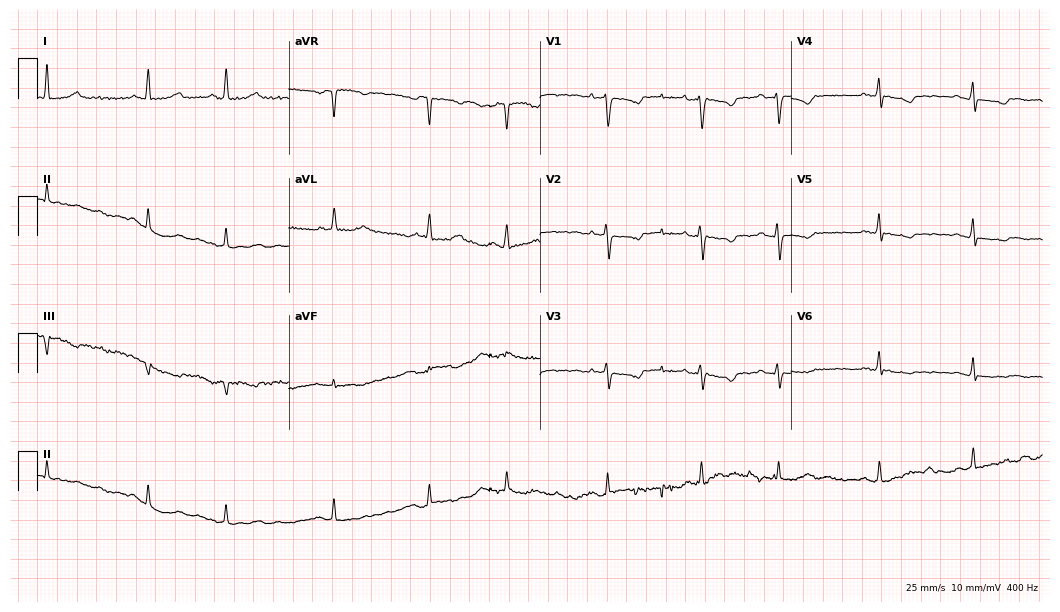
Electrocardiogram (10.2-second recording at 400 Hz), a 57-year-old female. Of the six screened findings (first-degree AV block, right bundle branch block, left bundle branch block, sinus bradycardia, atrial fibrillation, sinus tachycardia), none is recorded. Only these six findings were labelled.